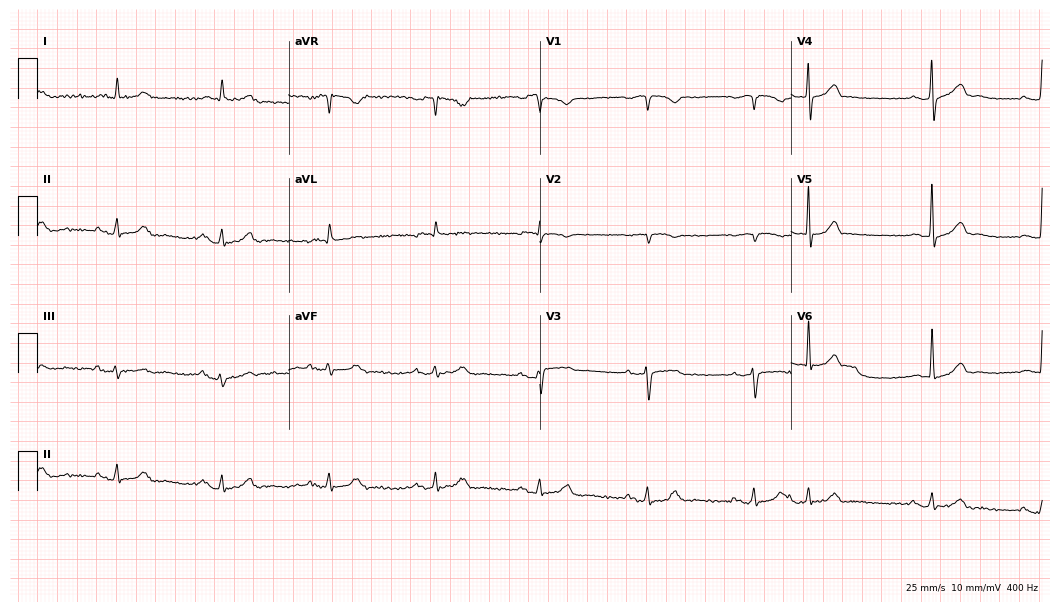
12-lead ECG from a 66-year-old female. Labelled as a normal ECG.